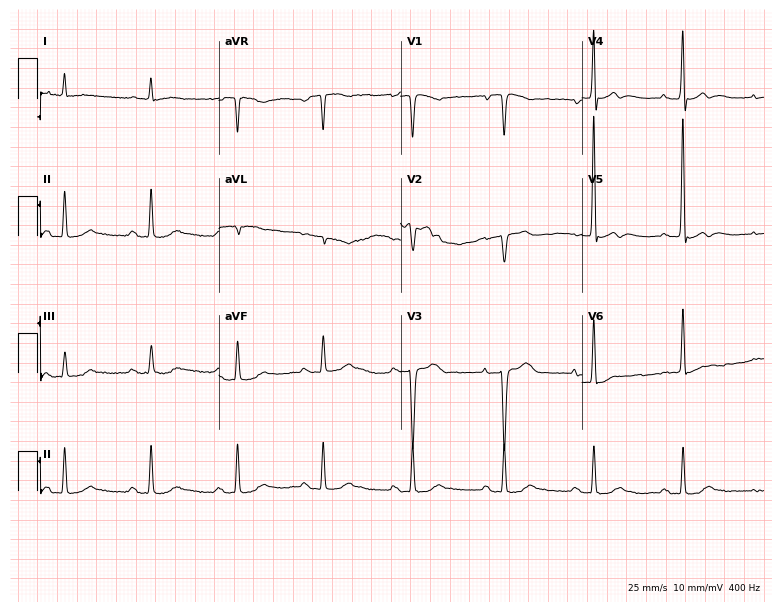
Electrocardiogram, a male, 78 years old. Of the six screened findings (first-degree AV block, right bundle branch block (RBBB), left bundle branch block (LBBB), sinus bradycardia, atrial fibrillation (AF), sinus tachycardia), none is recorded.